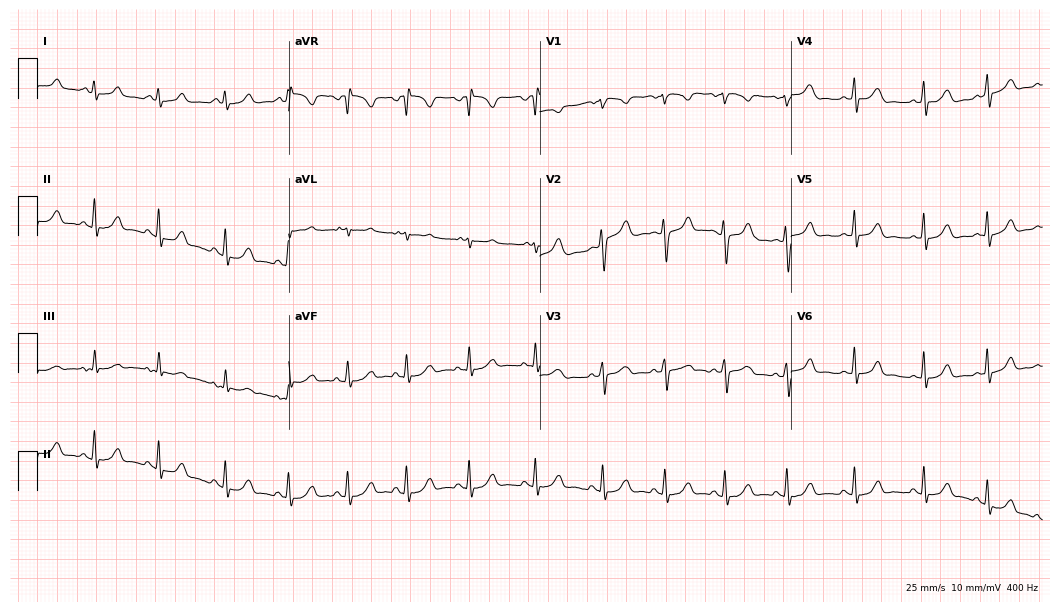
Resting 12-lead electrocardiogram (10.2-second recording at 400 Hz). Patient: an 18-year-old female. Read as a normal ECG.